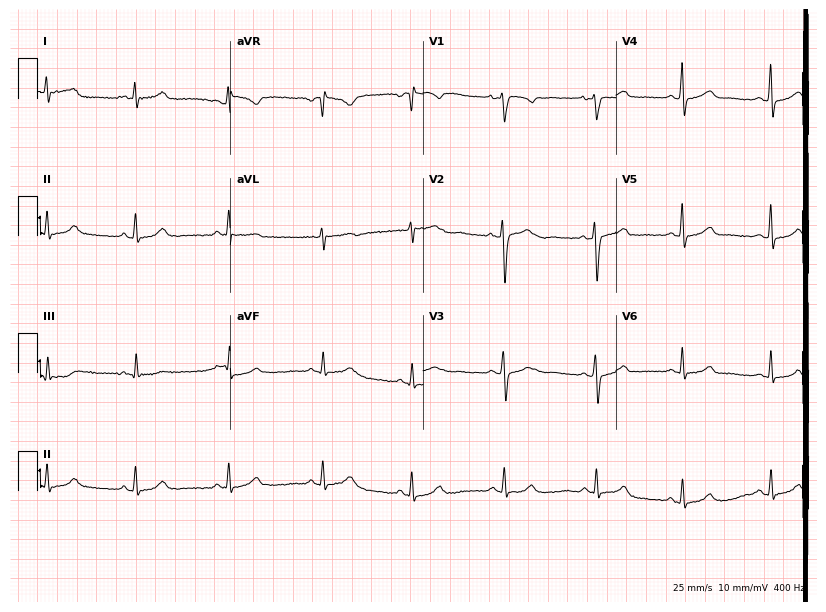
Standard 12-lead ECG recorded from a 35-year-old female patient. None of these six findings is recorded: first-degree AV block, right bundle branch block (RBBB), left bundle branch block (LBBB), sinus bradycardia, atrial fibrillation (AF), sinus tachycardia.